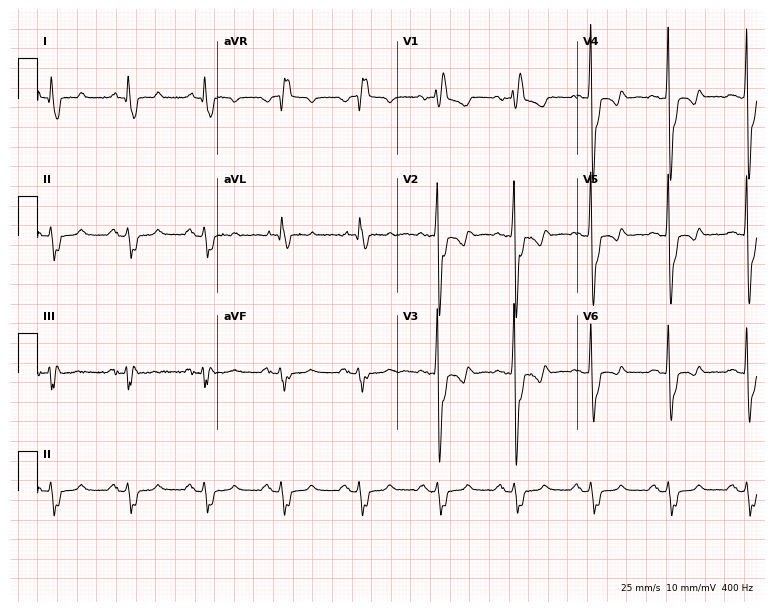
Standard 12-lead ECG recorded from a man, 82 years old. None of these six findings is recorded: first-degree AV block, right bundle branch block (RBBB), left bundle branch block (LBBB), sinus bradycardia, atrial fibrillation (AF), sinus tachycardia. Findings outside these six are not listed.